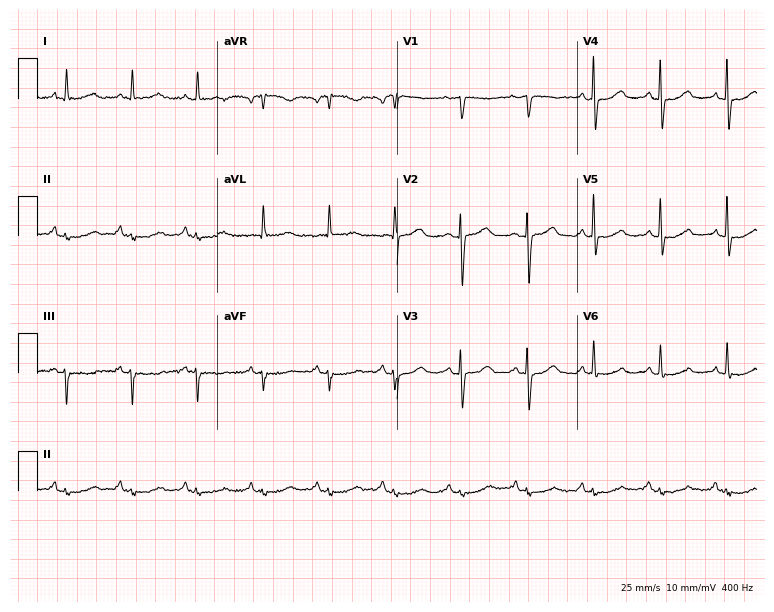
Standard 12-lead ECG recorded from an 83-year-old woman (7.3-second recording at 400 Hz). None of these six findings is recorded: first-degree AV block, right bundle branch block, left bundle branch block, sinus bradycardia, atrial fibrillation, sinus tachycardia.